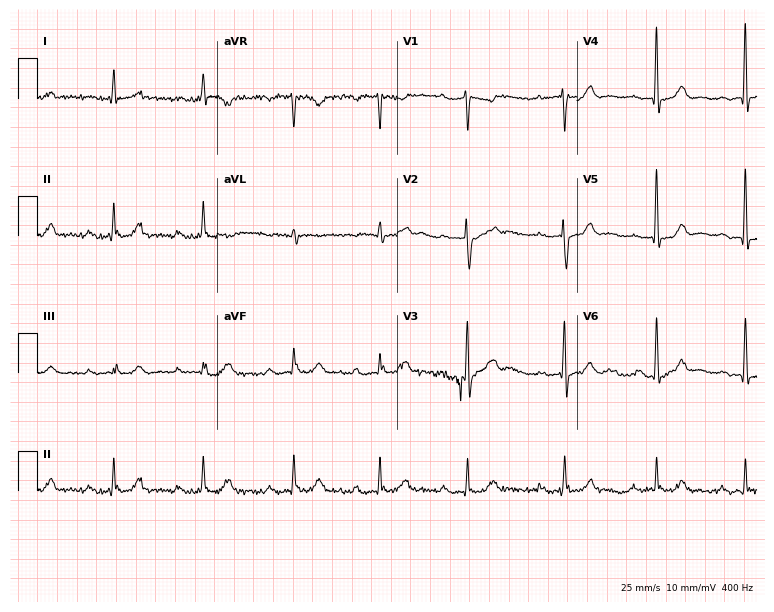
12-lead ECG from a male, 77 years old. Shows first-degree AV block.